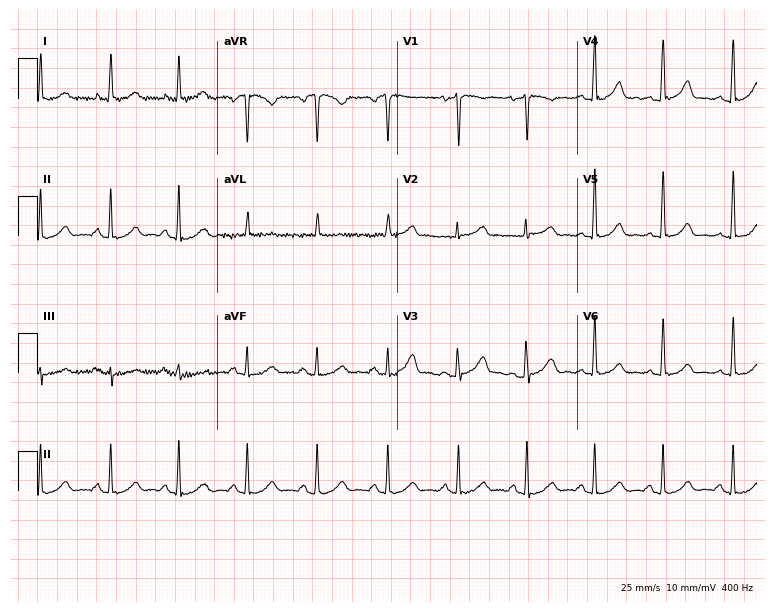
Electrocardiogram, a female, 67 years old. Of the six screened findings (first-degree AV block, right bundle branch block, left bundle branch block, sinus bradycardia, atrial fibrillation, sinus tachycardia), none is recorded.